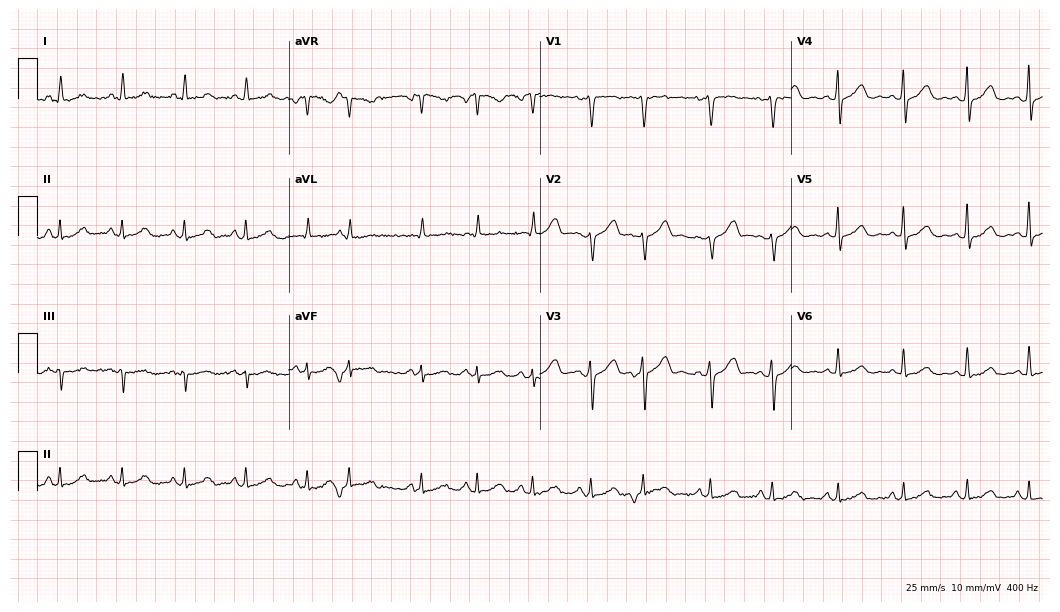
Electrocardiogram (10.2-second recording at 400 Hz), a woman, 55 years old. Overall reading on record: normal ECG.